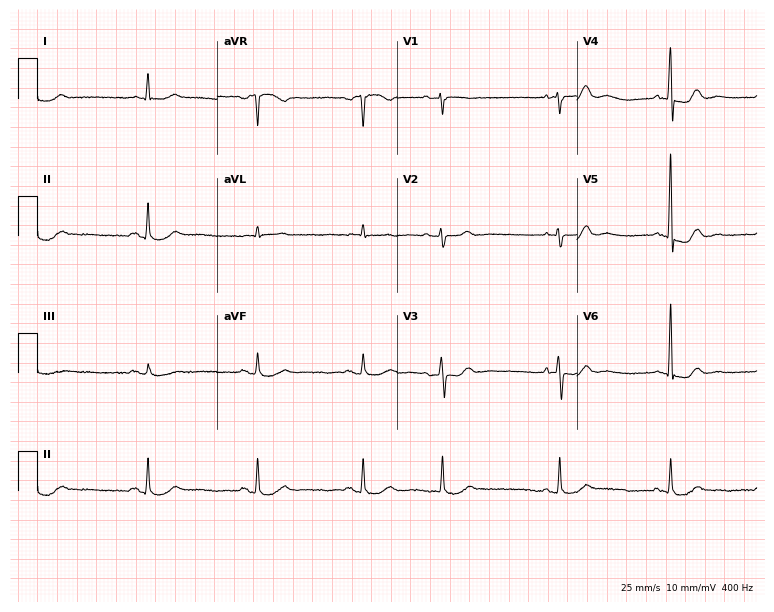
12-lead ECG from a female patient, 75 years old (7.3-second recording at 400 Hz). No first-degree AV block, right bundle branch block, left bundle branch block, sinus bradycardia, atrial fibrillation or sinus tachycardia recorded for this tracing.